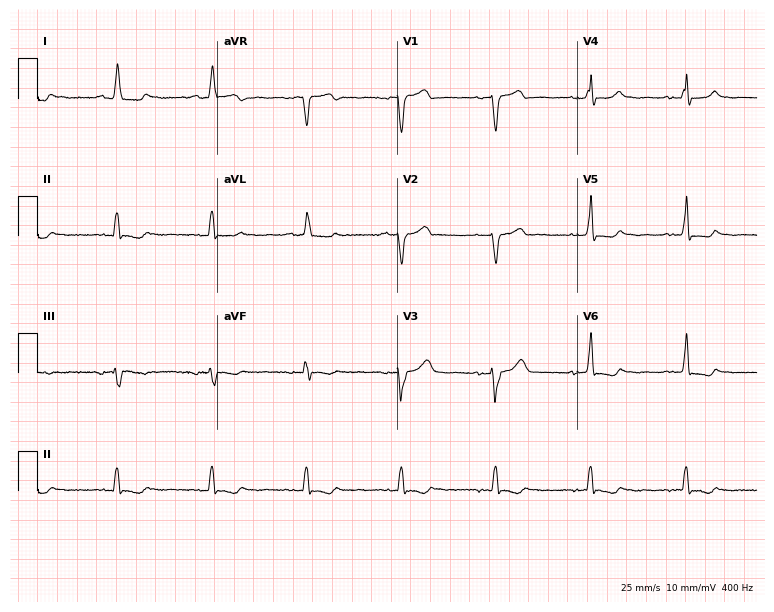
Standard 12-lead ECG recorded from a female patient, 73 years old. None of these six findings is recorded: first-degree AV block, right bundle branch block, left bundle branch block, sinus bradycardia, atrial fibrillation, sinus tachycardia. Other findings, if any, are not listed.